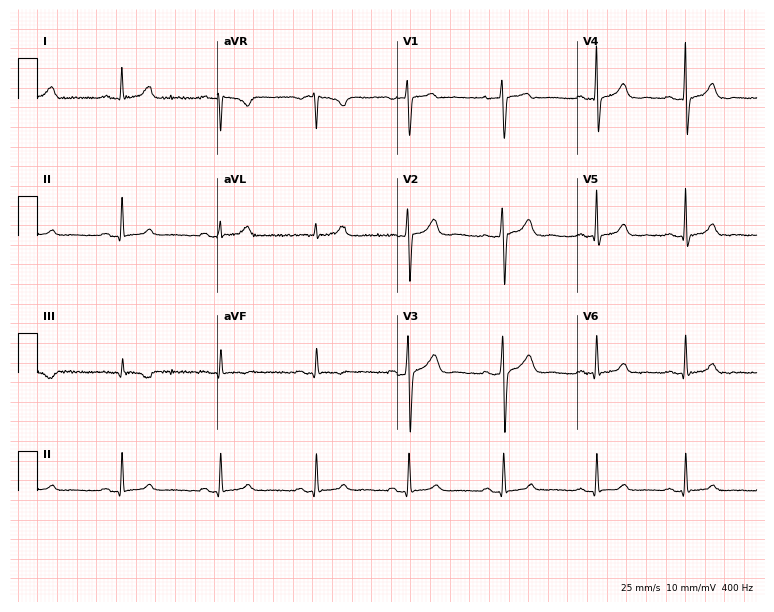
12-lead ECG (7.3-second recording at 400 Hz) from a female patient, 29 years old. Labelled as a normal ECG.